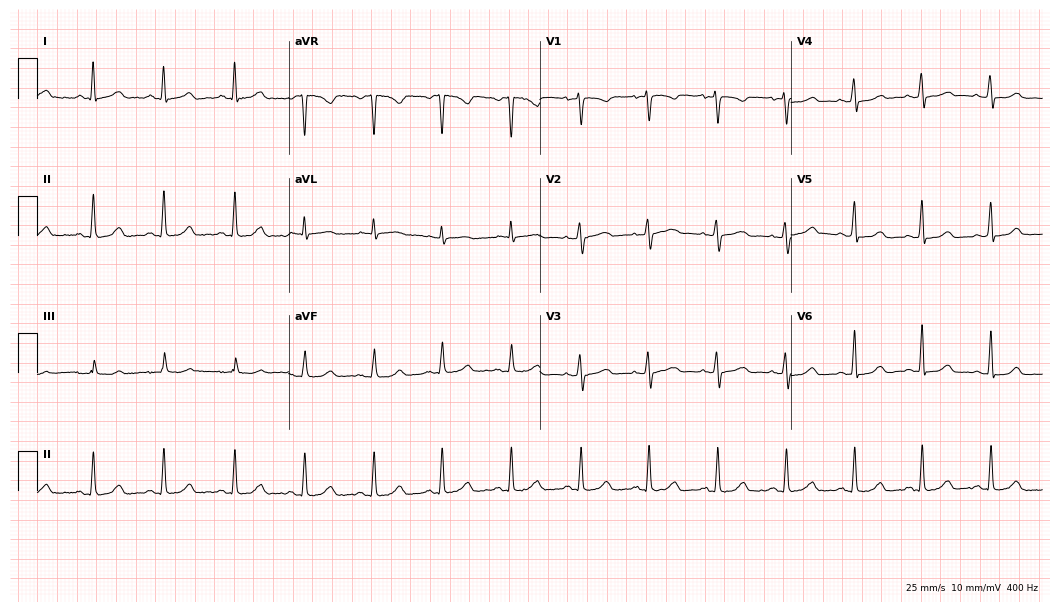
12-lead ECG from a woman, 44 years old. Labelled as a normal ECG.